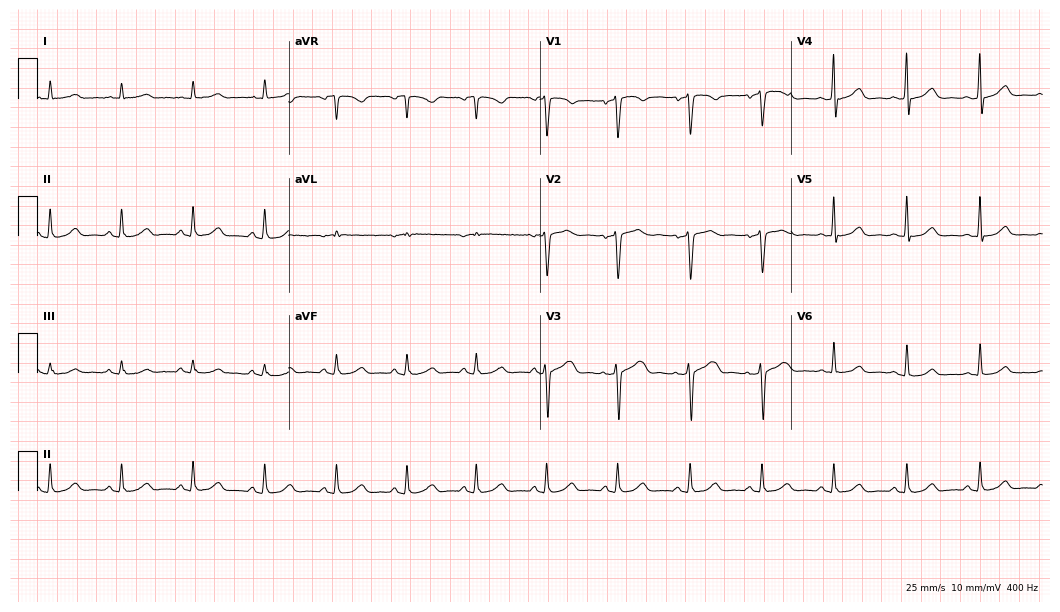
ECG (10.2-second recording at 400 Hz) — a 40-year-old female. Screened for six findings — first-degree AV block, right bundle branch block, left bundle branch block, sinus bradycardia, atrial fibrillation, sinus tachycardia — none is recorded.